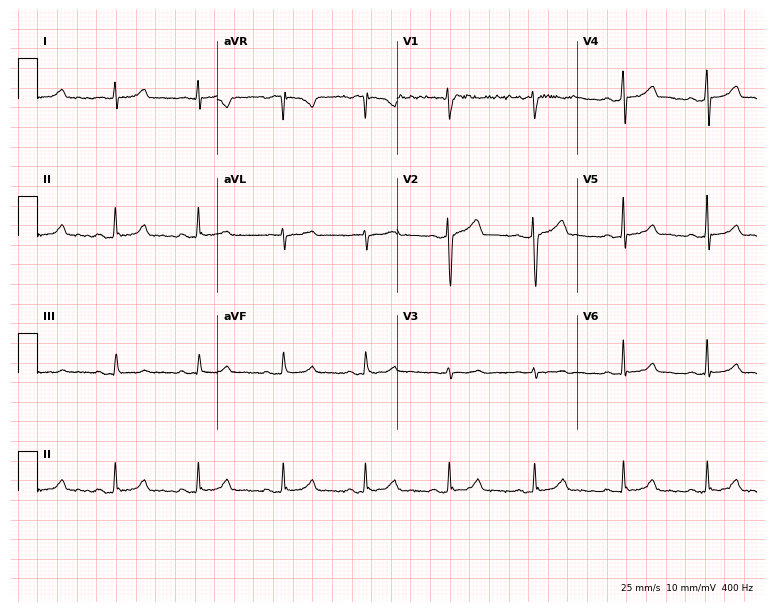
Electrocardiogram, a 41-year-old man. Of the six screened findings (first-degree AV block, right bundle branch block (RBBB), left bundle branch block (LBBB), sinus bradycardia, atrial fibrillation (AF), sinus tachycardia), none is recorded.